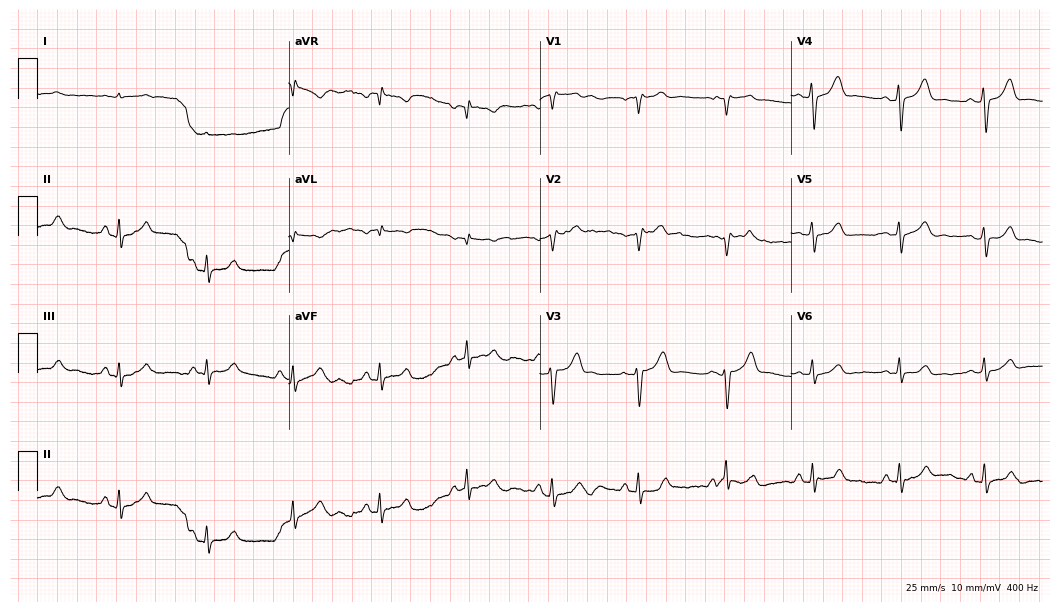
ECG — an 82-year-old male. Screened for six findings — first-degree AV block, right bundle branch block, left bundle branch block, sinus bradycardia, atrial fibrillation, sinus tachycardia — none is recorded. Only these six findings were labelled.